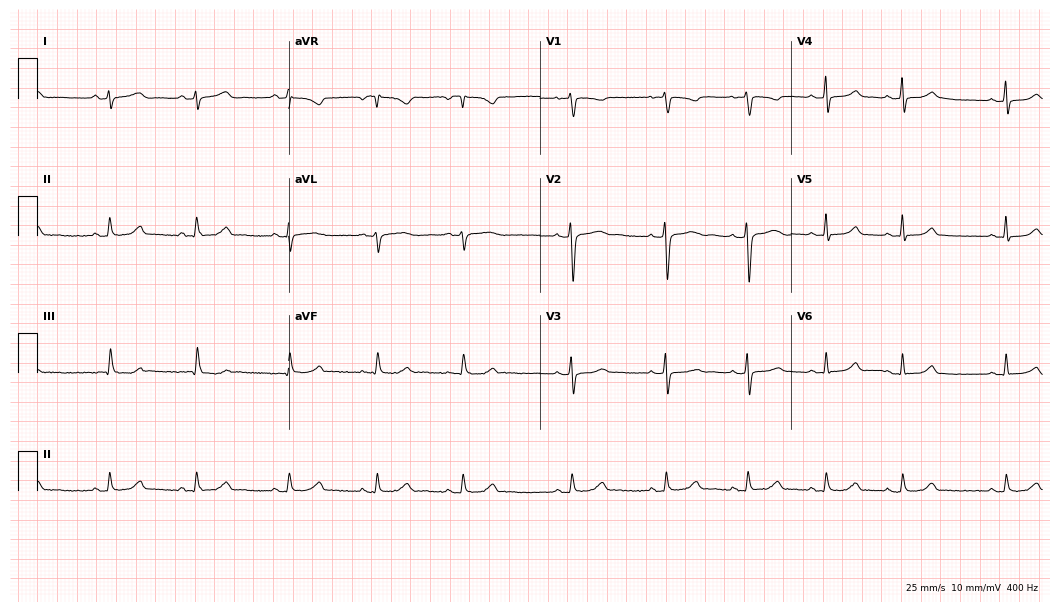
12-lead ECG from a 21-year-old woman. Screened for six findings — first-degree AV block, right bundle branch block (RBBB), left bundle branch block (LBBB), sinus bradycardia, atrial fibrillation (AF), sinus tachycardia — none is recorded.